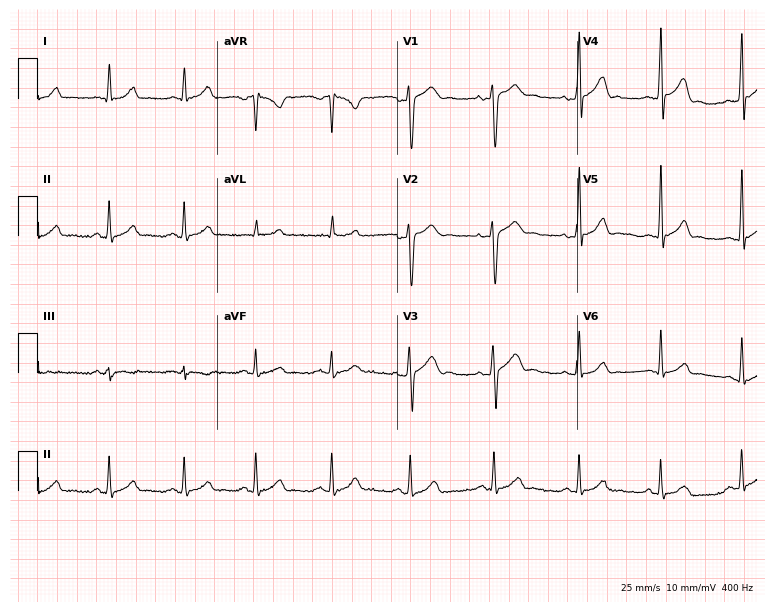
ECG — a 24-year-old male patient. Labelled as a normal ECG.